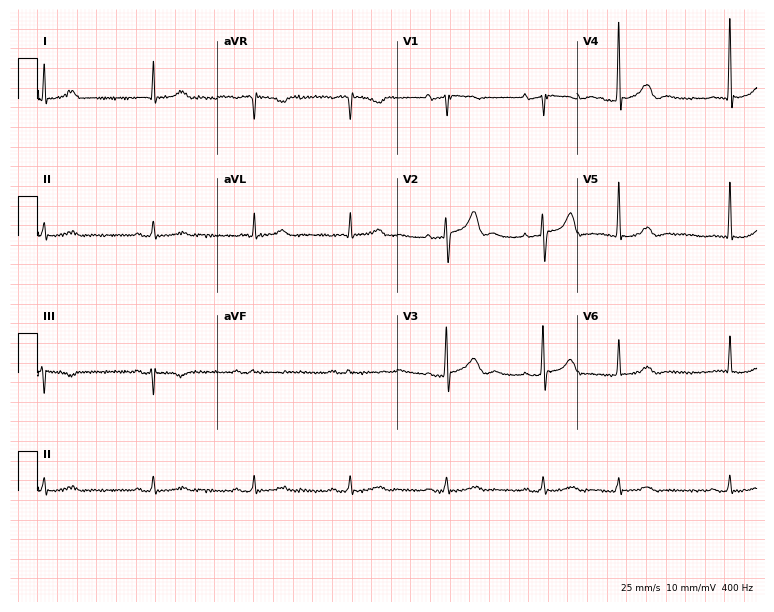
Standard 12-lead ECG recorded from a 78-year-old male patient. Read as a normal ECG.